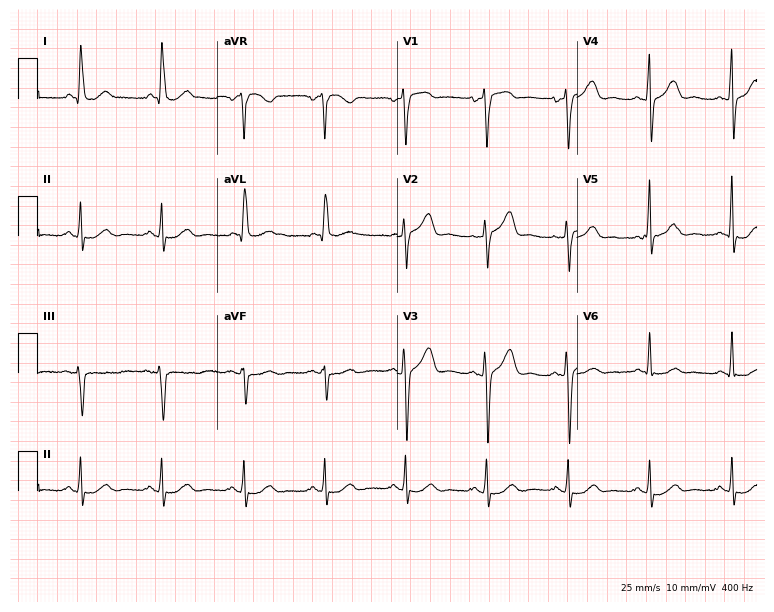
12-lead ECG (7.3-second recording at 400 Hz) from a 63-year-old man. Labelled as a normal ECG.